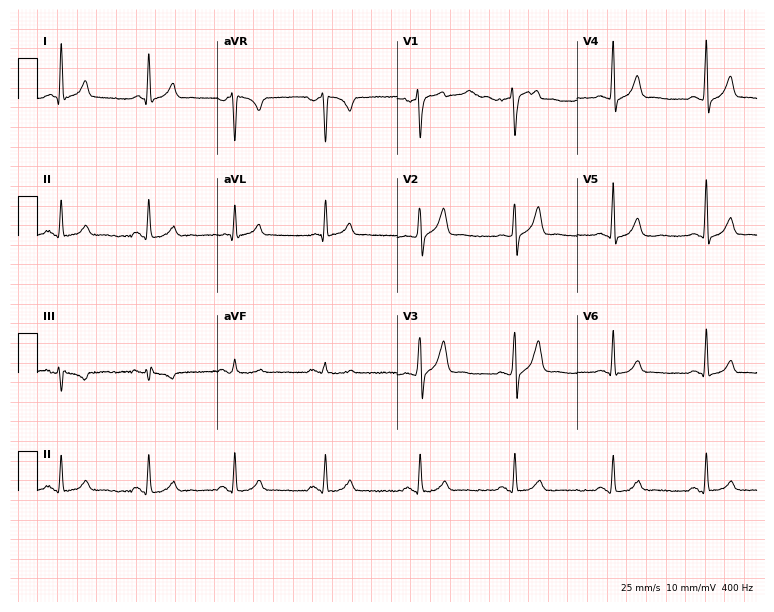
12-lead ECG from a male patient, 41 years old. Screened for six findings — first-degree AV block, right bundle branch block, left bundle branch block, sinus bradycardia, atrial fibrillation, sinus tachycardia — none is recorded. Only these six findings were labelled.